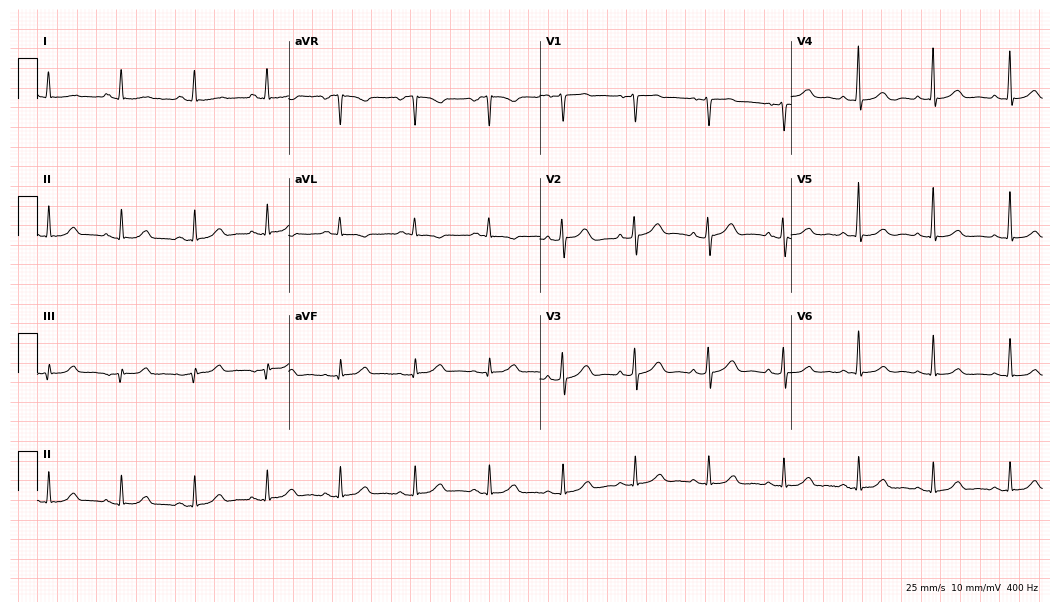
12-lead ECG from a female patient, 53 years old (10.2-second recording at 400 Hz). Recorded interpretation: within normal limits.